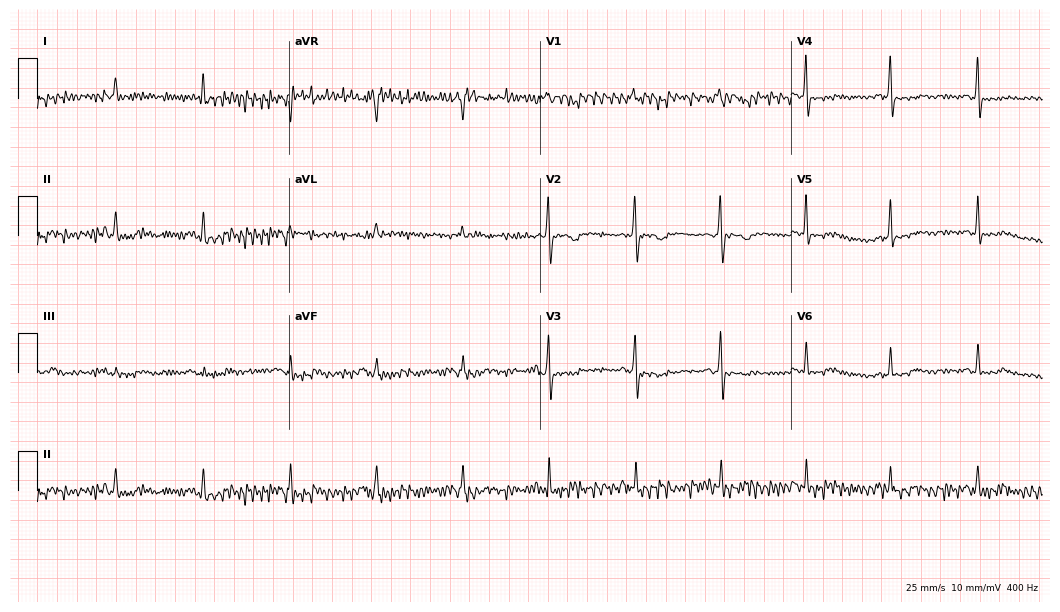
ECG (10.2-second recording at 400 Hz) — a 69-year-old woman. Screened for six findings — first-degree AV block, right bundle branch block (RBBB), left bundle branch block (LBBB), sinus bradycardia, atrial fibrillation (AF), sinus tachycardia — none is recorded.